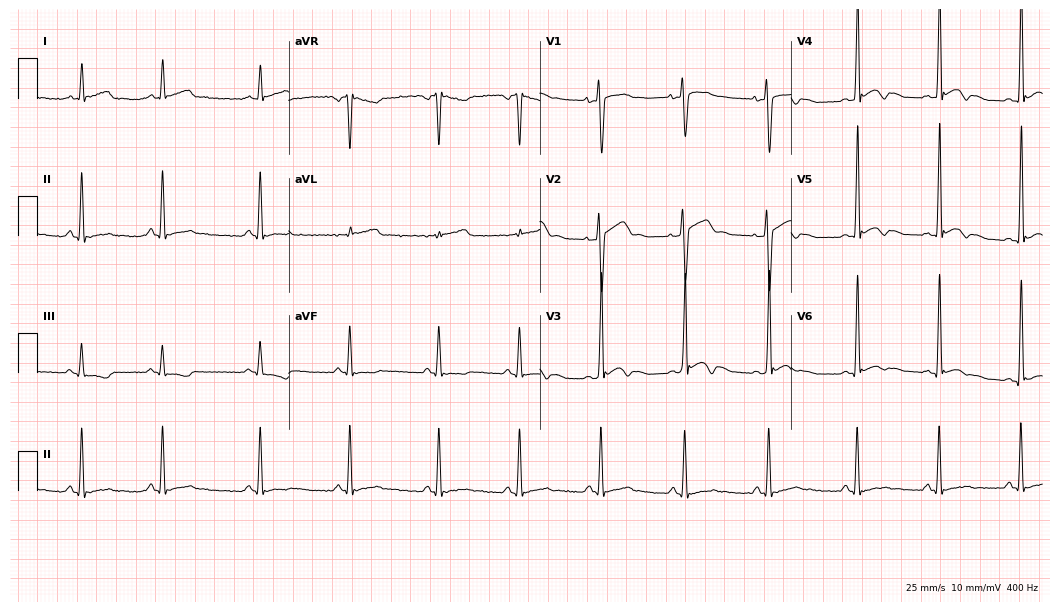
Electrocardiogram, a 17-year-old man. Of the six screened findings (first-degree AV block, right bundle branch block, left bundle branch block, sinus bradycardia, atrial fibrillation, sinus tachycardia), none is recorded.